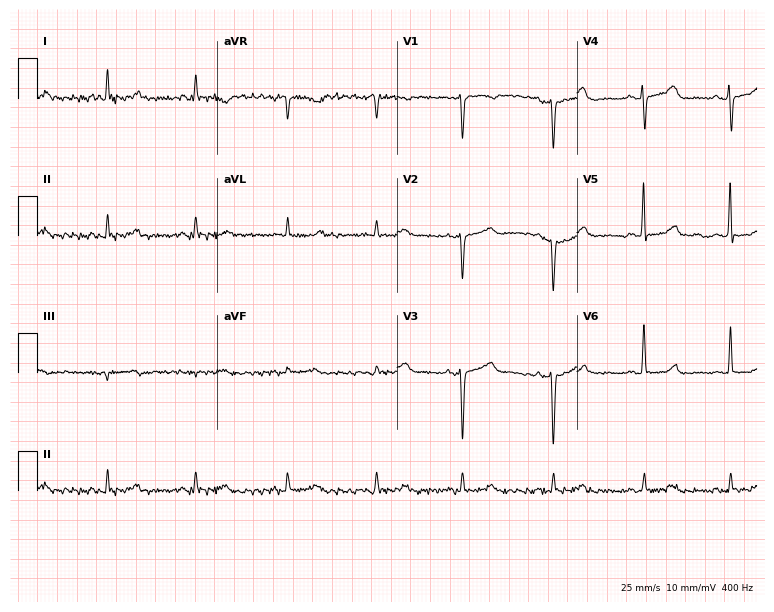
ECG (7.3-second recording at 400 Hz) — a female, 56 years old. Screened for six findings — first-degree AV block, right bundle branch block (RBBB), left bundle branch block (LBBB), sinus bradycardia, atrial fibrillation (AF), sinus tachycardia — none is recorded. Findings outside these six are not listed.